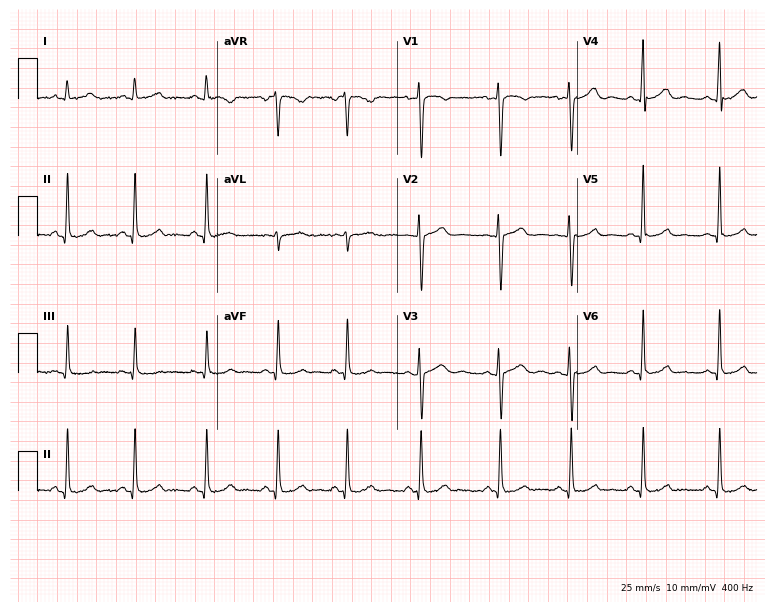
ECG (7.3-second recording at 400 Hz) — a 20-year-old woman. Screened for six findings — first-degree AV block, right bundle branch block (RBBB), left bundle branch block (LBBB), sinus bradycardia, atrial fibrillation (AF), sinus tachycardia — none is recorded. Only these six findings were labelled.